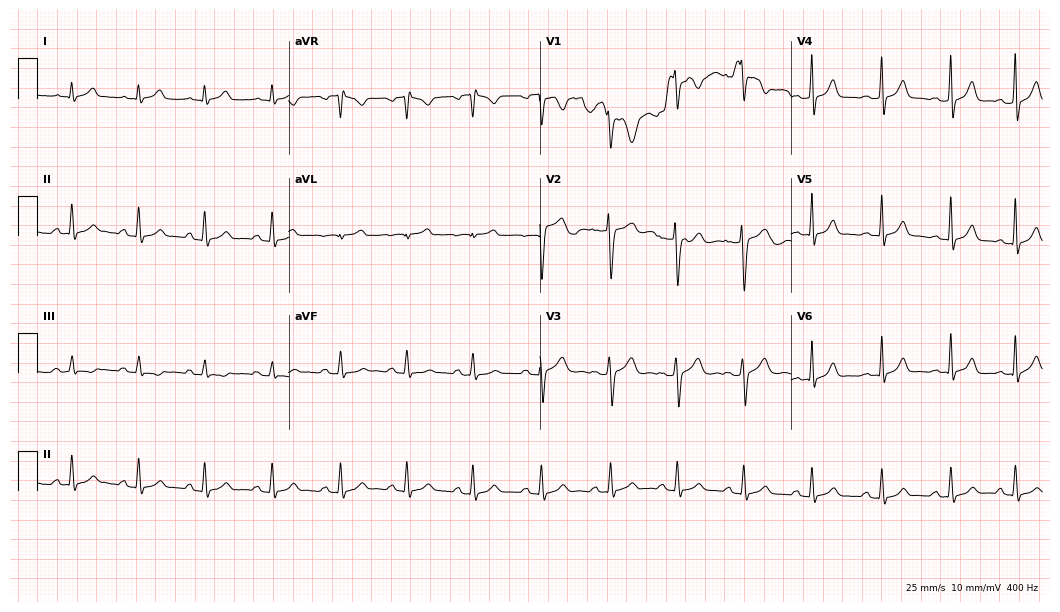
Electrocardiogram, a 20-year-old woman. Overall reading on record: normal ECG.